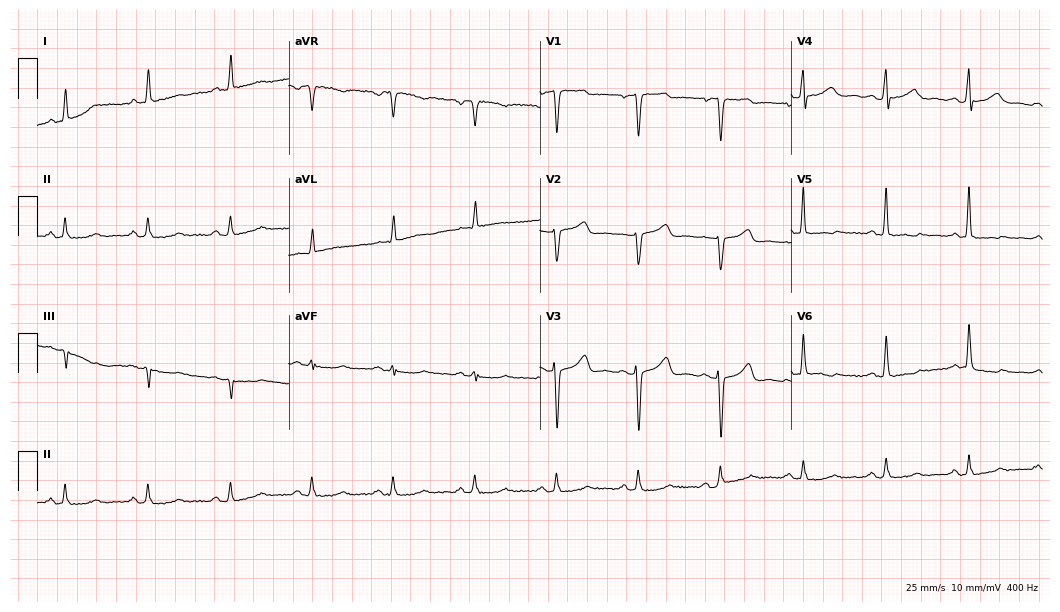
12-lead ECG from a 66-year-old man (10.2-second recording at 400 Hz). No first-degree AV block, right bundle branch block, left bundle branch block, sinus bradycardia, atrial fibrillation or sinus tachycardia recorded for this tracing.